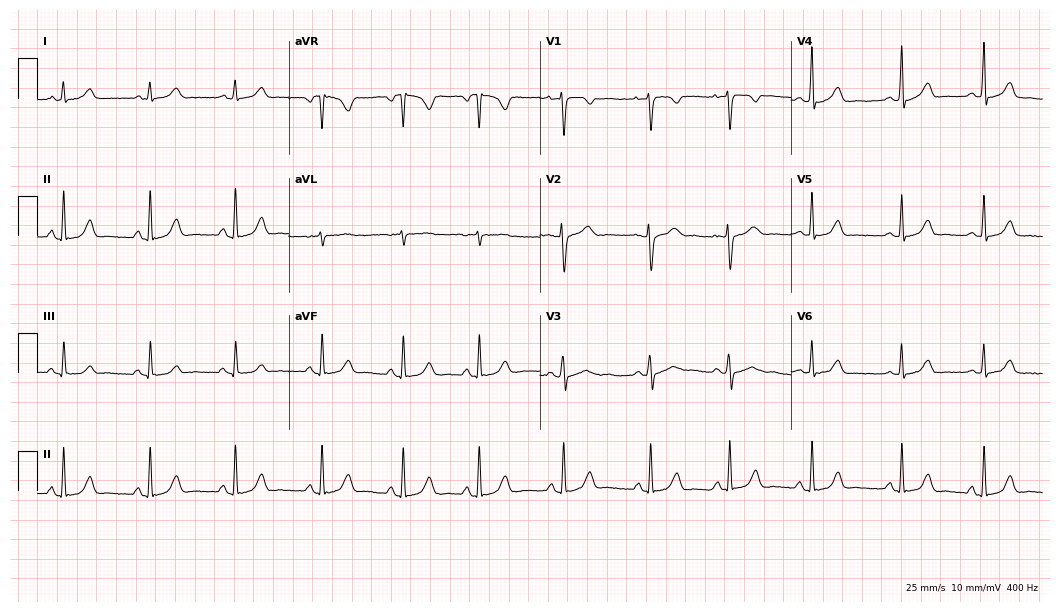
12-lead ECG from a female, 26 years old (10.2-second recording at 400 Hz). No first-degree AV block, right bundle branch block (RBBB), left bundle branch block (LBBB), sinus bradycardia, atrial fibrillation (AF) or sinus tachycardia recorded for this tracing.